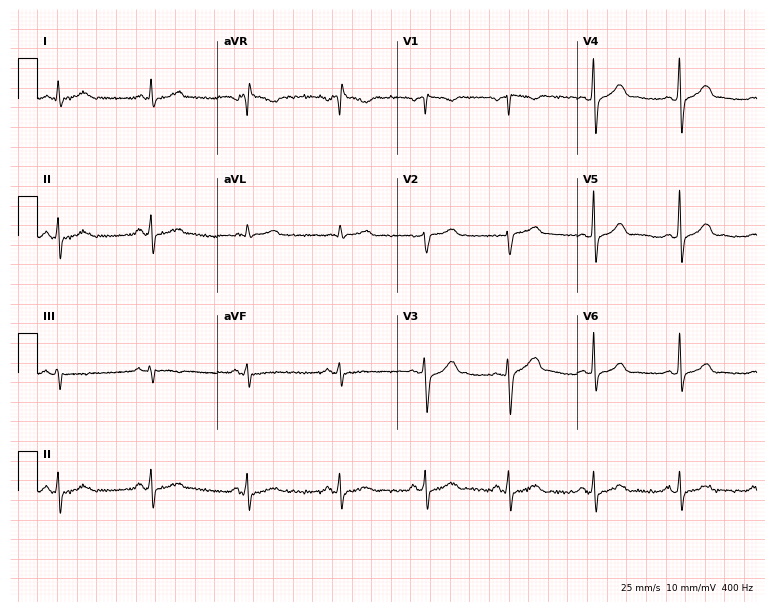
Resting 12-lead electrocardiogram. Patient: a 54-year-old male. Read as a normal ECG.